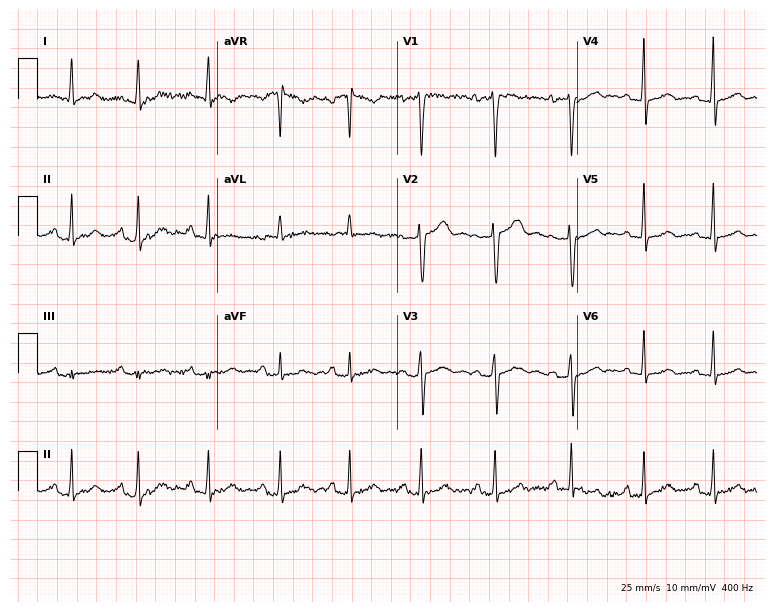
ECG — a 37-year-old female. Screened for six findings — first-degree AV block, right bundle branch block (RBBB), left bundle branch block (LBBB), sinus bradycardia, atrial fibrillation (AF), sinus tachycardia — none is recorded. Findings outside these six are not listed.